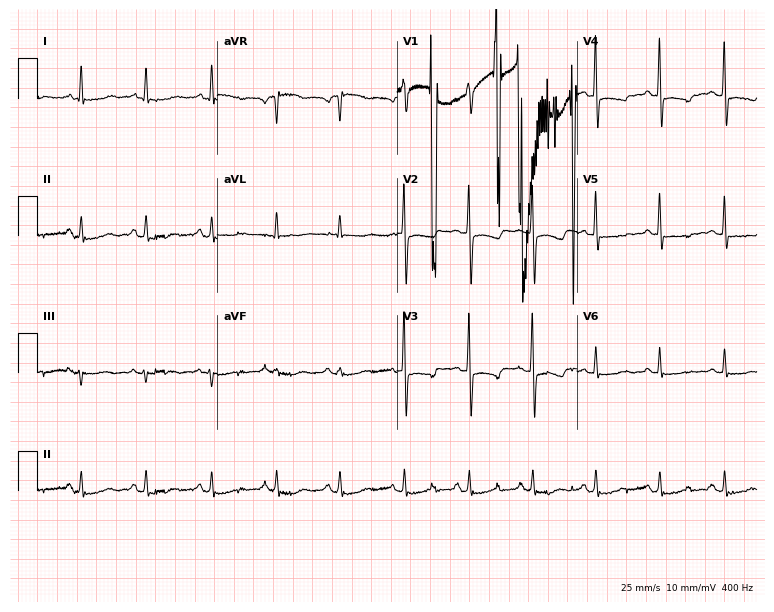
Resting 12-lead electrocardiogram. Patient: a woman, 53 years old. None of these six findings is recorded: first-degree AV block, right bundle branch block, left bundle branch block, sinus bradycardia, atrial fibrillation, sinus tachycardia.